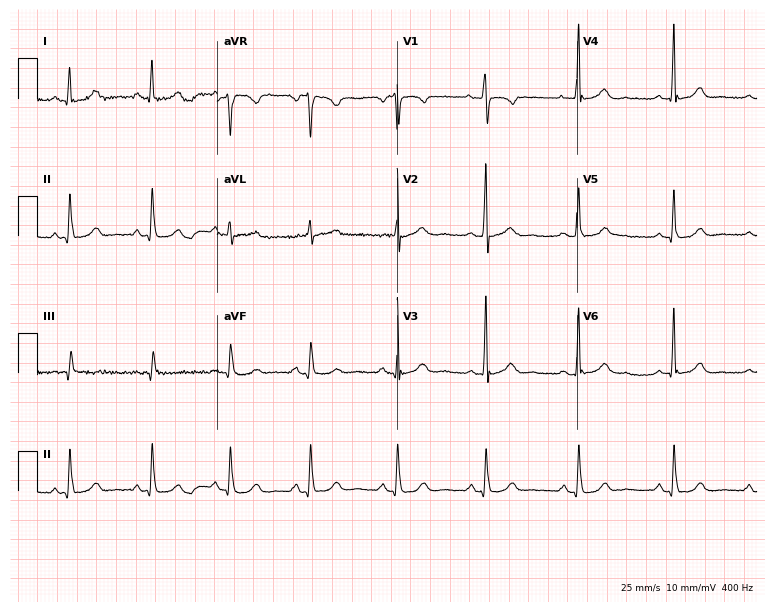
12-lead ECG from a female patient, 45 years old (7.3-second recording at 400 Hz). Recorded interpretation: within normal limits.